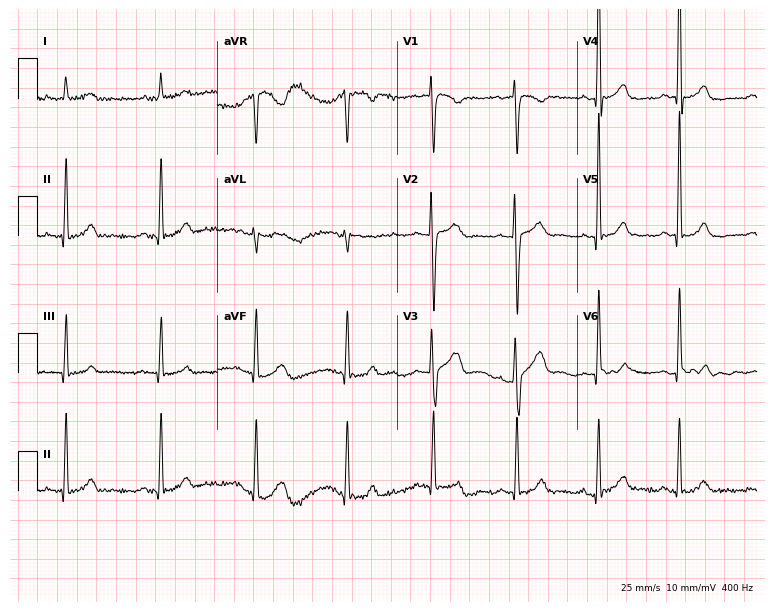
12-lead ECG from a man, 52 years old. Screened for six findings — first-degree AV block, right bundle branch block, left bundle branch block, sinus bradycardia, atrial fibrillation, sinus tachycardia — none is recorded.